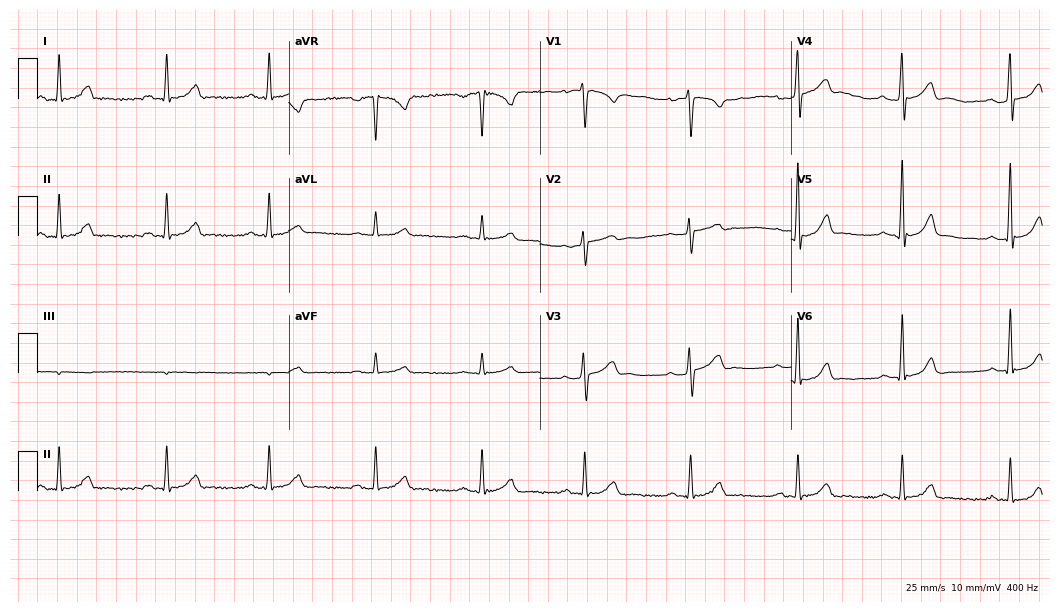
Resting 12-lead electrocardiogram. Patient: a male, 42 years old. Read as a normal ECG.